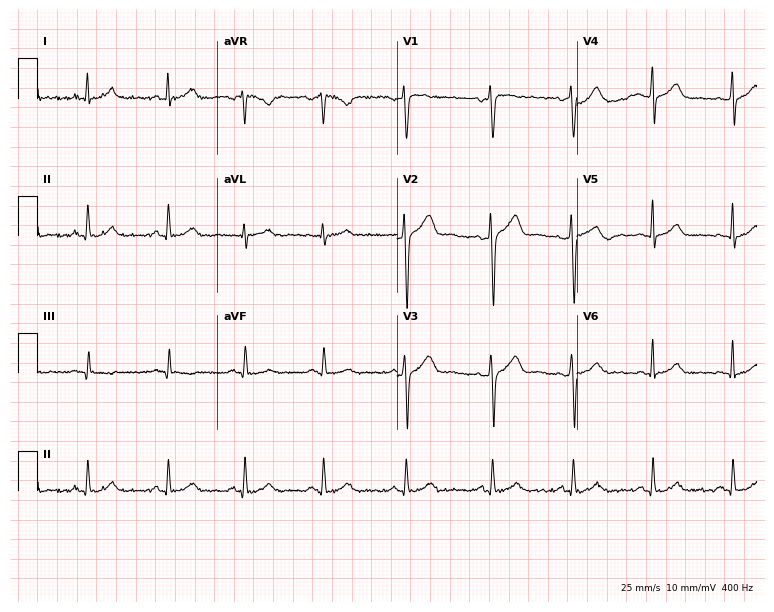
ECG (7.3-second recording at 400 Hz) — a 36-year-old male. Labelled as a normal ECG.